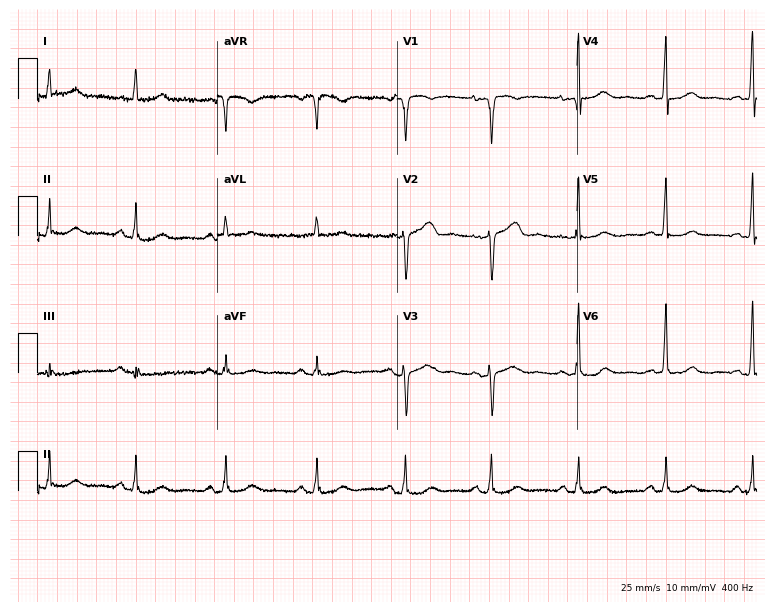
ECG (7.3-second recording at 400 Hz) — a female, 76 years old. Screened for six findings — first-degree AV block, right bundle branch block (RBBB), left bundle branch block (LBBB), sinus bradycardia, atrial fibrillation (AF), sinus tachycardia — none is recorded.